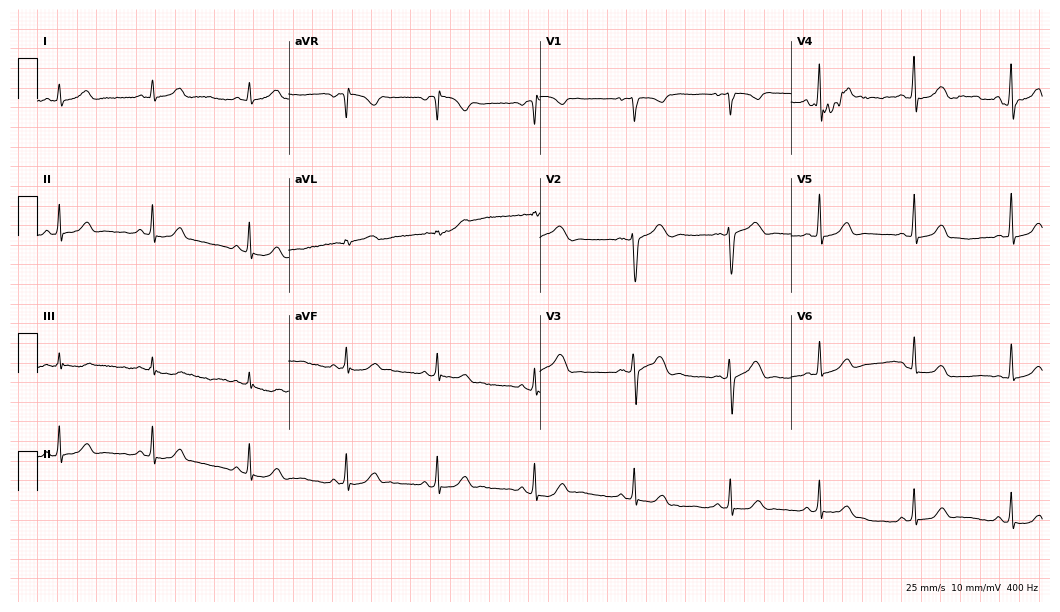
ECG (10.2-second recording at 400 Hz) — a 22-year-old female patient. Labelled as a normal ECG.